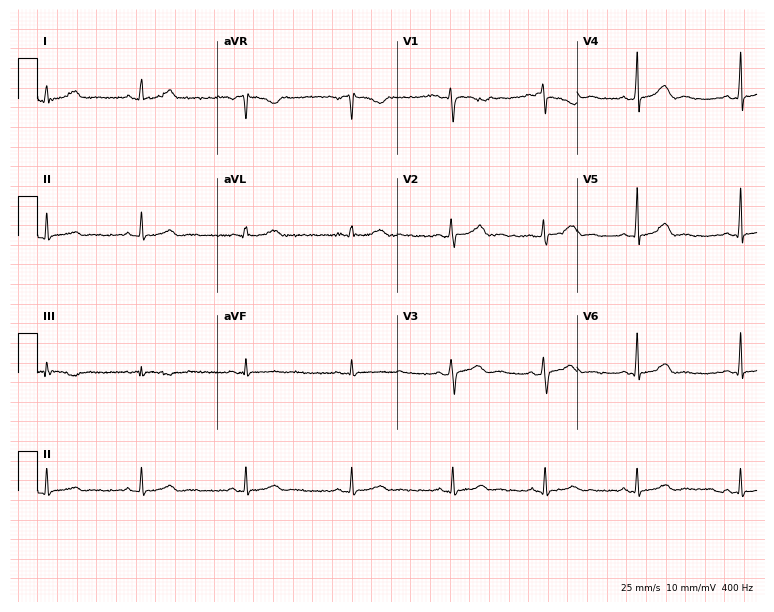
12-lead ECG from a female, 33 years old. Labelled as a normal ECG.